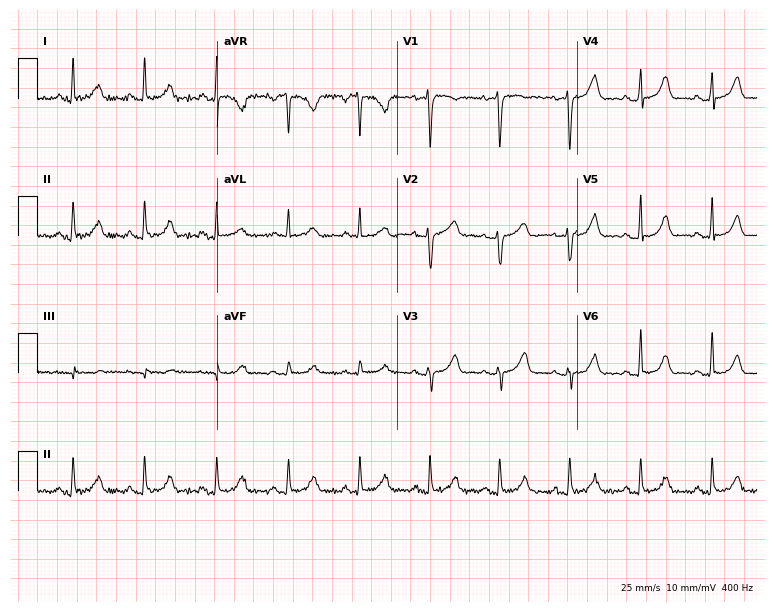
Standard 12-lead ECG recorded from a female, 45 years old. Read as a normal ECG.